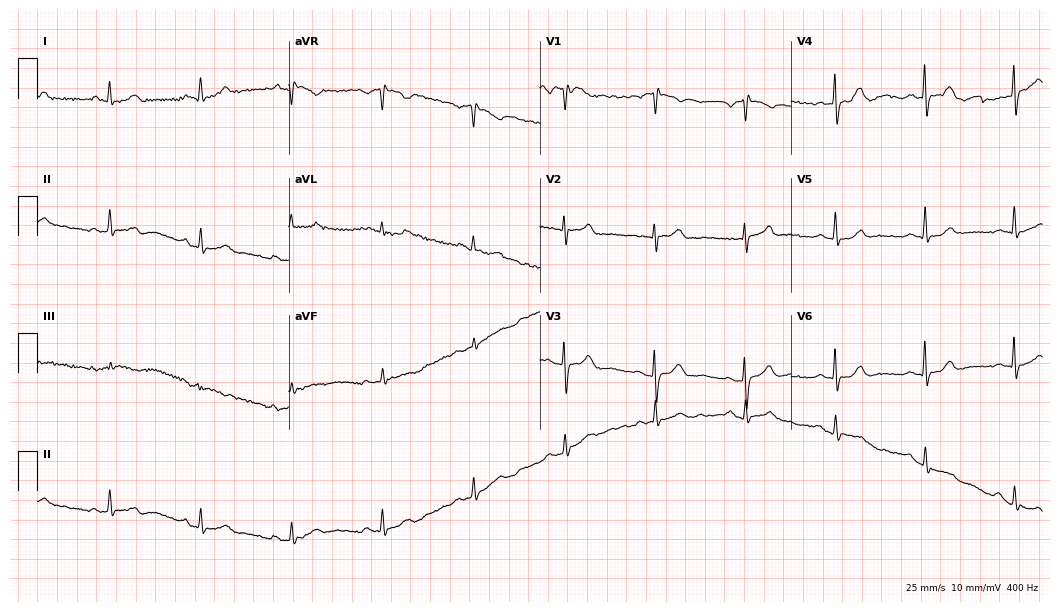
Resting 12-lead electrocardiogram. Patient: a man, 84 years old. None of these six findings is recorded: first-degree AV block, right bundle branch block, left bundle branch block, sinus bradycardia, atrial fibrillation, sinus tachycardia. Findings outside these six are not listed.